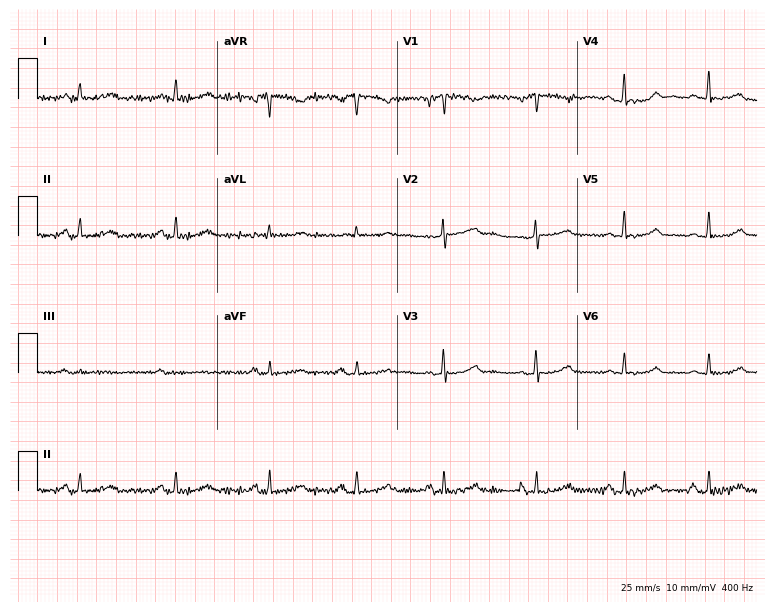
Standard 12-lead ECG recorded from a woman, 47 years old. None of these six findings is recorded: first-degree AV block, right bundle branch block (RBBB), left bundle branch block (LBBB), sinus bradycardia, atrial fibrillation (AF), sinus tachycardia.